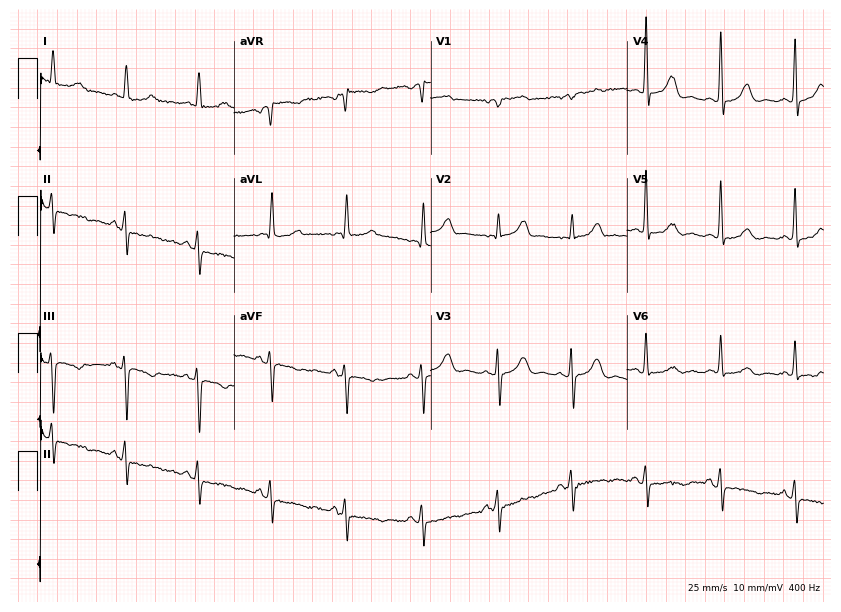
12-lead ECG (8-second recording at 400 Hz) from a female patient, 74 years old. Screened for six findings — first-degree AV block, right bundle branch block, left bundle branch block, sinus bradycardia, atrial fibrillation, sinus tachycardia — none is recorded.